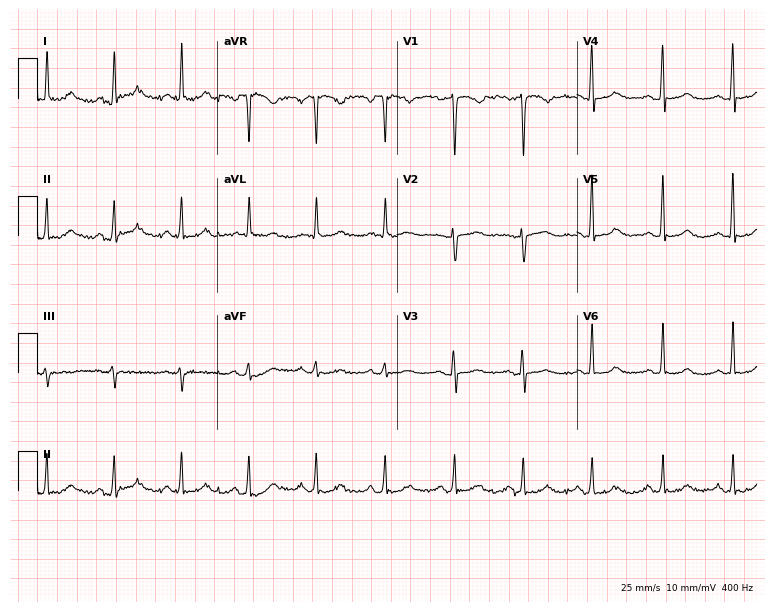
Standard 12-lead ECG recorded from a 60-year-old female patient (7.3-second recording at 400 Hz). Read as a normal ECG.